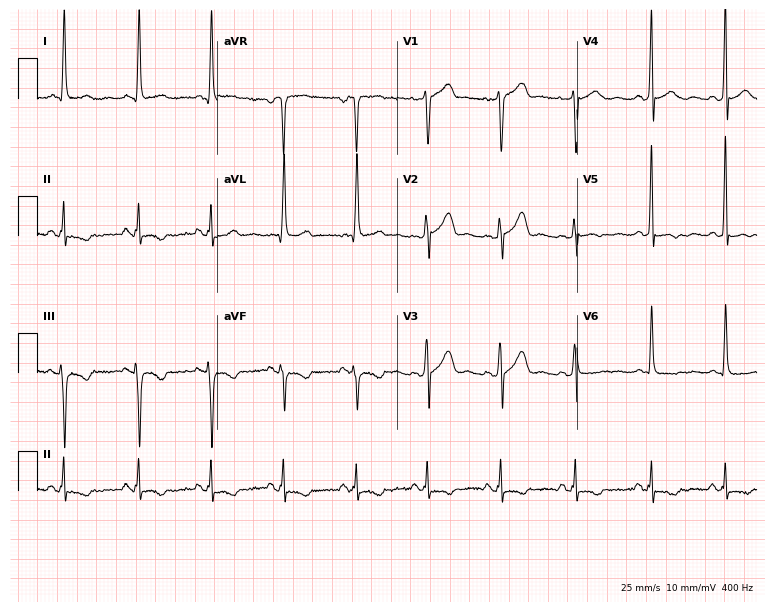
Electrocardiogram (7.3-second recording at 400 Hz), a 57-year-old female. Of the six screened findings (first-degree AV block, right bundle branch block, left bundle branch block, sinus bradycardia, atrial fibrillation, sinus tachycardia), none is recorded. Only these six findings were labelled.